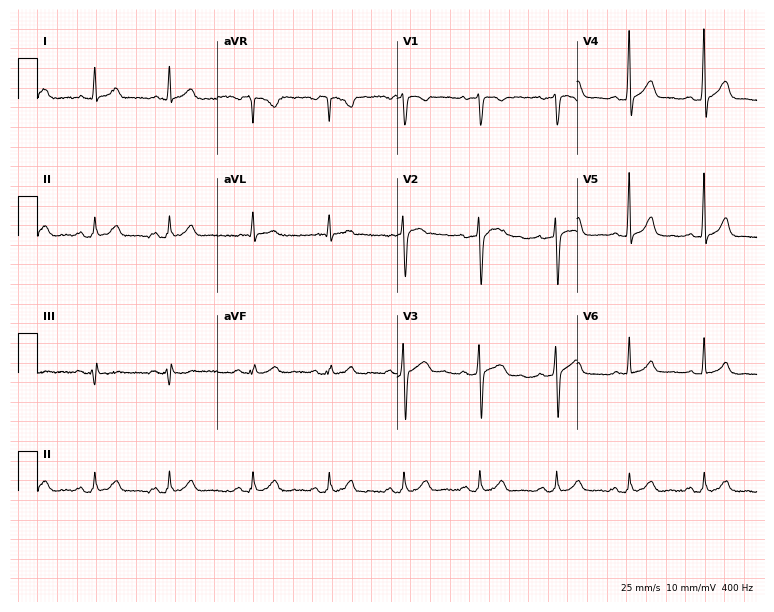
Electrocardiogram, a man, 39 years old. Of the six screened findings (first-degree AV block, right bundle branch block, left bundle branch block, sinus bradycardia, atrial fibrillation, sinus tachycardia), none is recorded. Findings outside these six are not listed.